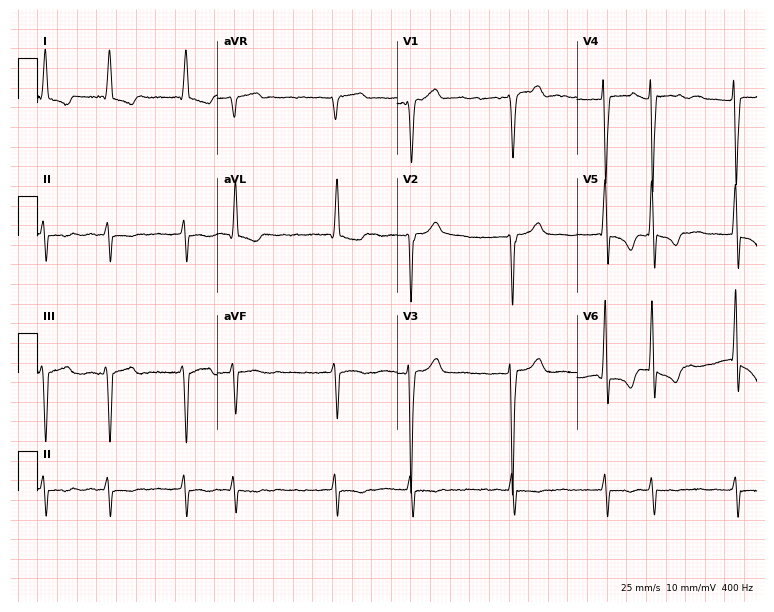
ECG (7.3-second recording at 400 Hz) — a male, 75 years old. Findings include atrial fibrillation.